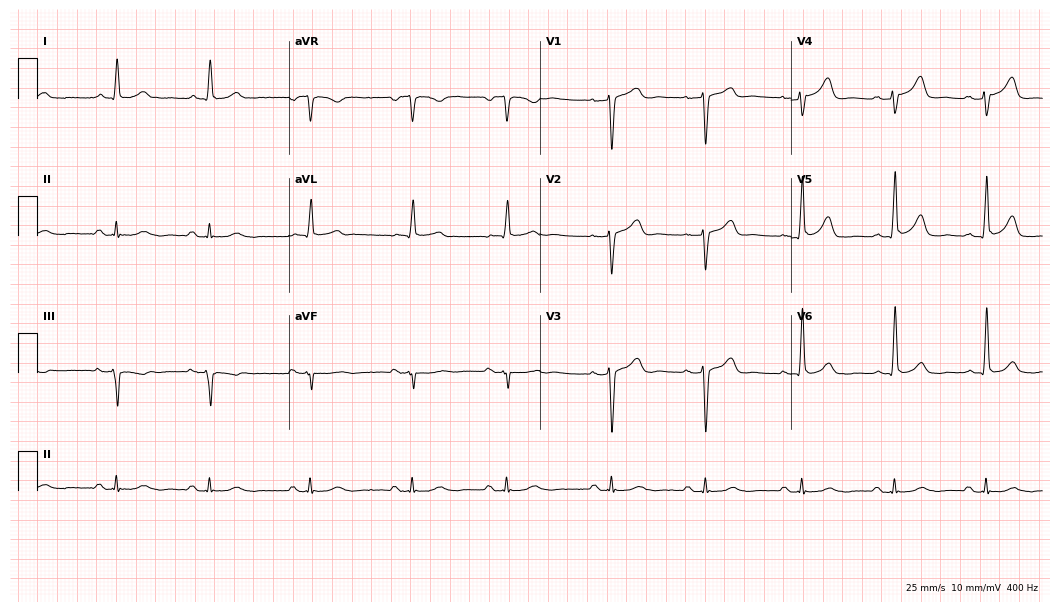
Electrocardiogram (10.2-second recording at 400 Hz), a man, 73 years old. Overall reading on record: normal ECG.